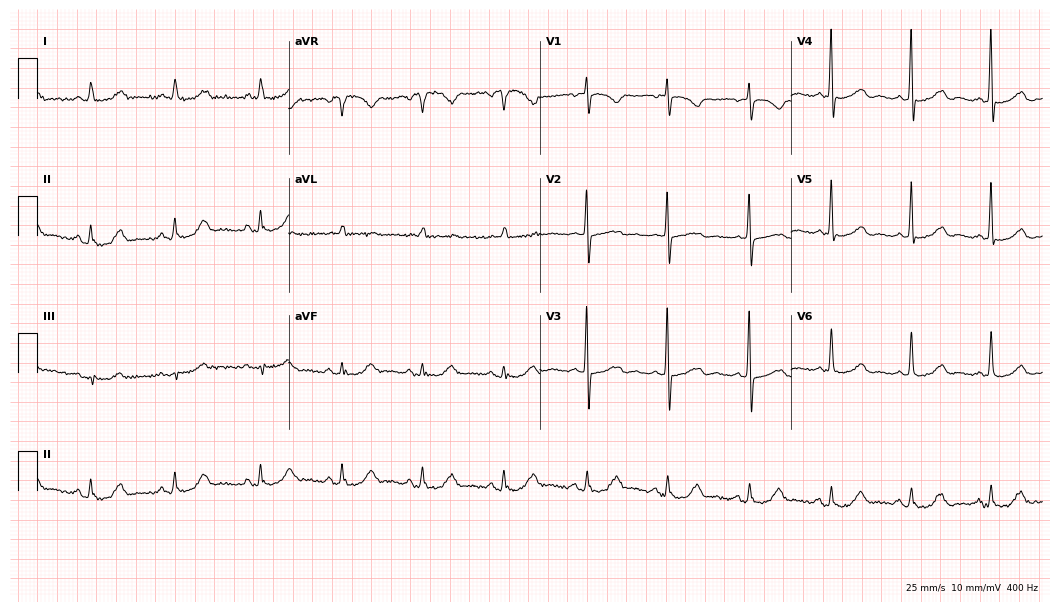
ECG (10.2-second recording at 400 Hz) — a 67-year-old female. Screened for six findings — first-degree AV block, right bundle branch block (RBBB), left bundle branch block (LBBB), sinus bradycardia, atrial fibrillation (AF), sinus tachycardia — none is recorded.